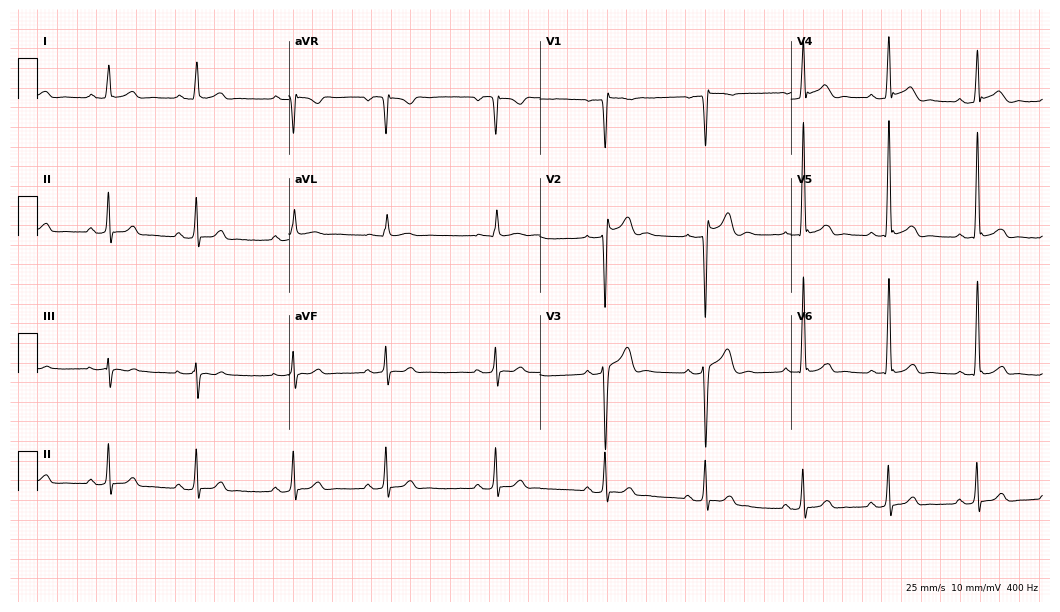
12-lead ECG from a male patient, 22 years old (10.2-second recording at 400 Hz). Recorded interpretation: within normal limits.